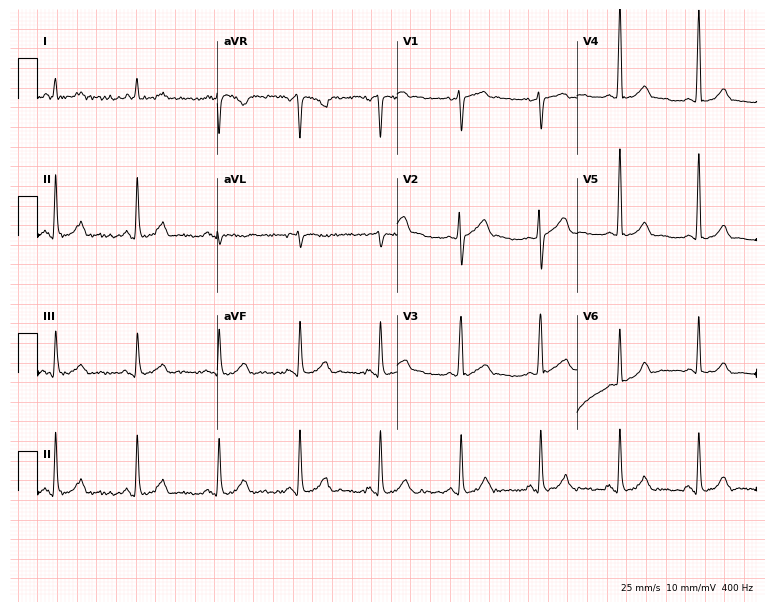
Standard 12-lead ECG recorded from a male, 51 years old. None of these six findings is recorded: first-degree AV block, right bundle branch block (RBBB), left bundle branch block (LBBB), sinus bradycardia, atrial fibrillation (AF), sinus tachycardia.